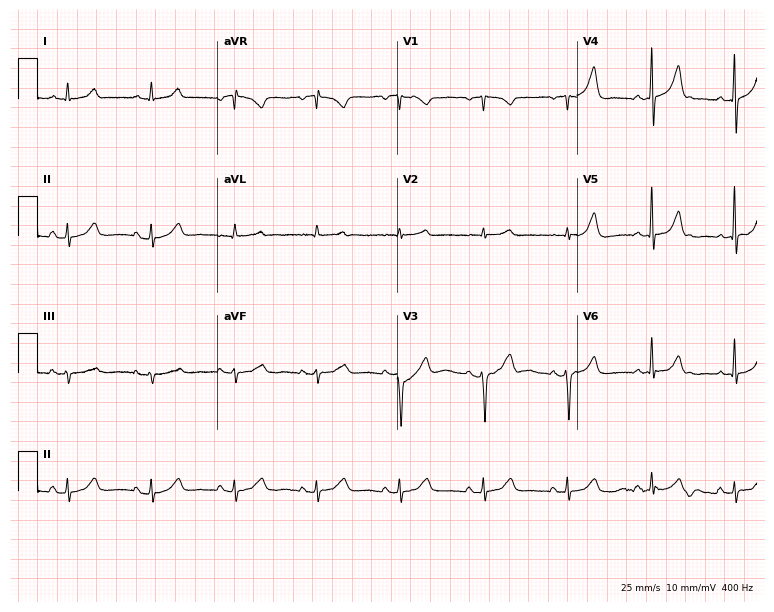
12-lead ECG from a 61-year-old female patient. Recorded interpretation: within normal limits.